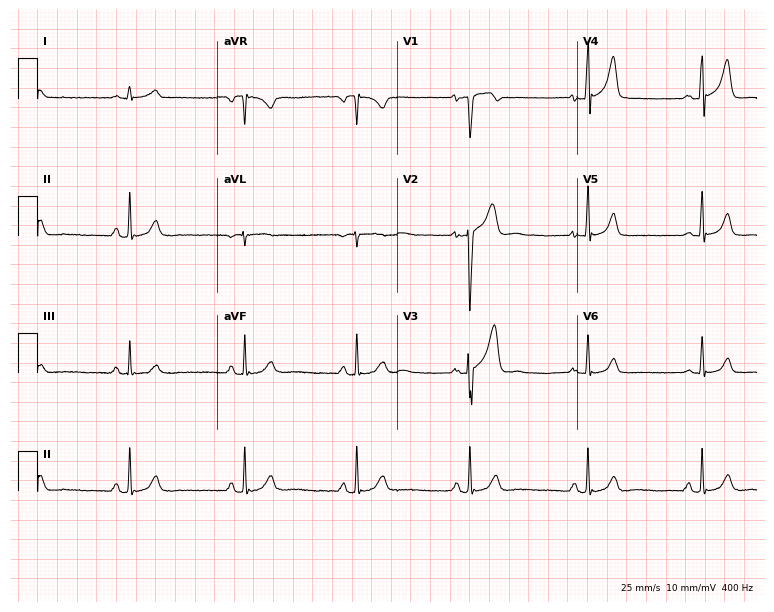
12-lead ECG from a man, 50 years old. Recorded interpretation: within normal limits.